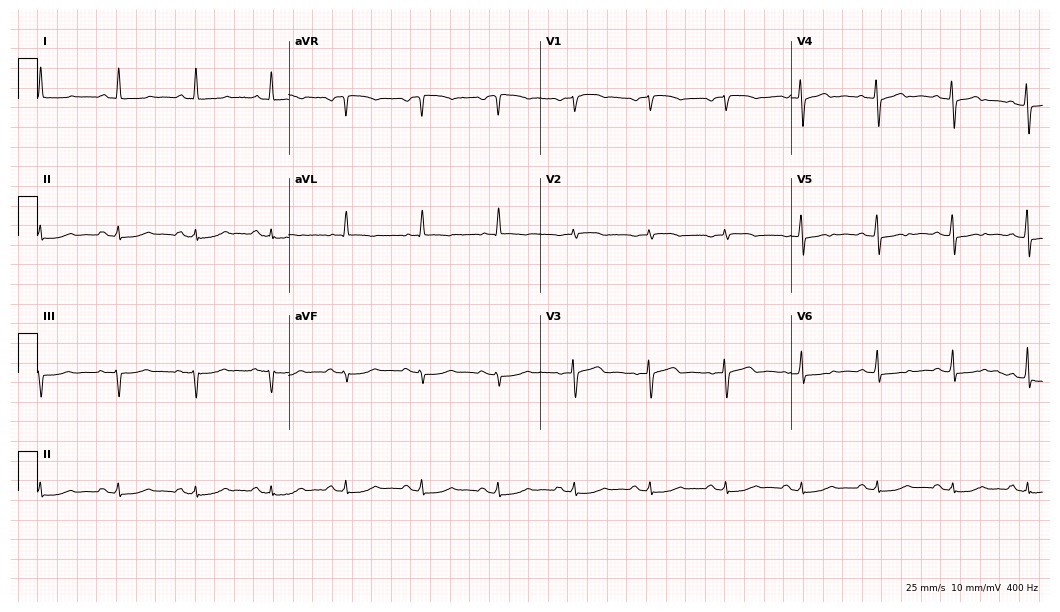
12-lead ECG from a female, 80 years old. Screened for six findings — first-degree AV block, right bundle branch block, left bundle branch block, sinus bradycardia, atrial fibrillation, sinus tachycardia — none is recorded.